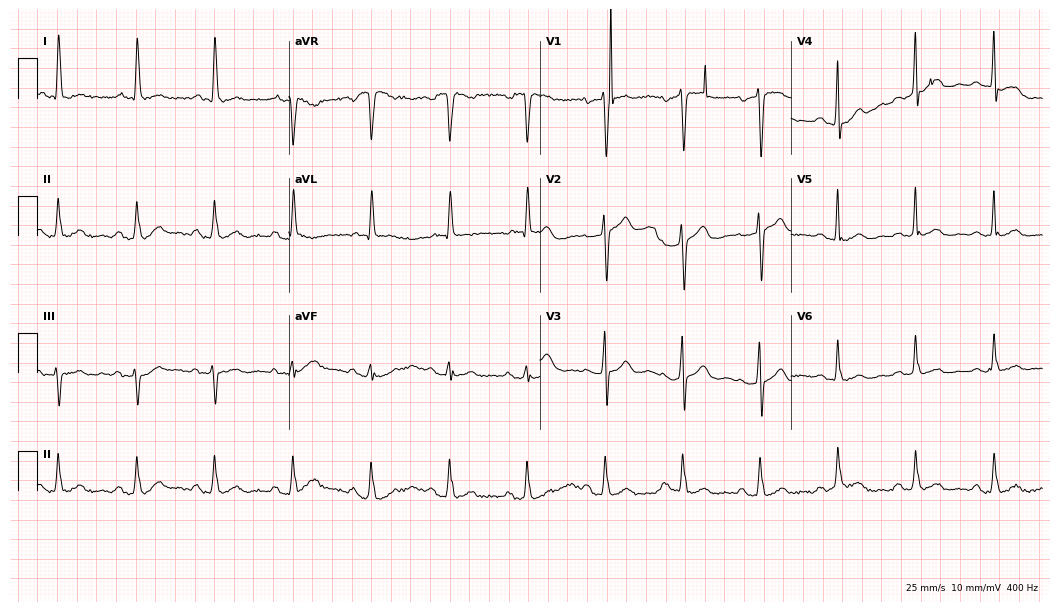
12-lead ECG from an 83-year-old woman. Labelled as a normal ECG.